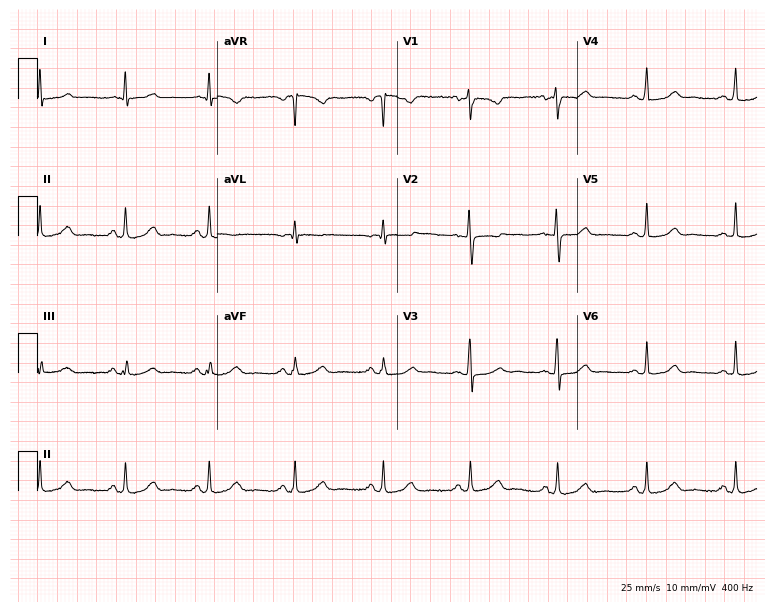
Electrocardiogram, a female, 42 years old. Of the six screened findings (first-degree AV block, right bundle branch block, left bundle branch block, sinus bradycardia, atrial fibrillation, sinus tachycardia), none is recorded.